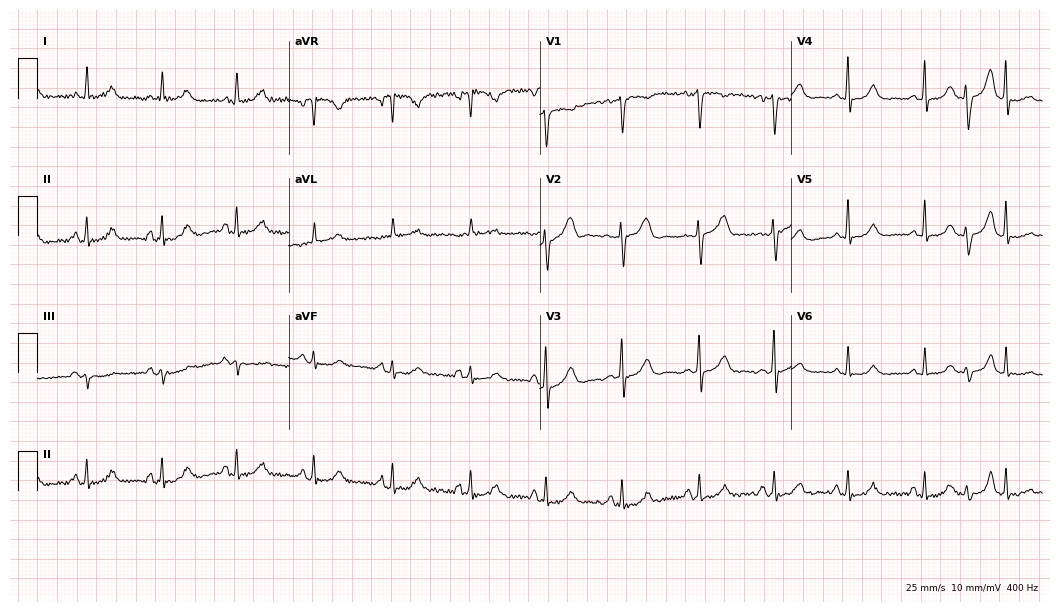
Electrocardiogram, a 43-year-old woman. Overall reading on record: normal ECG.